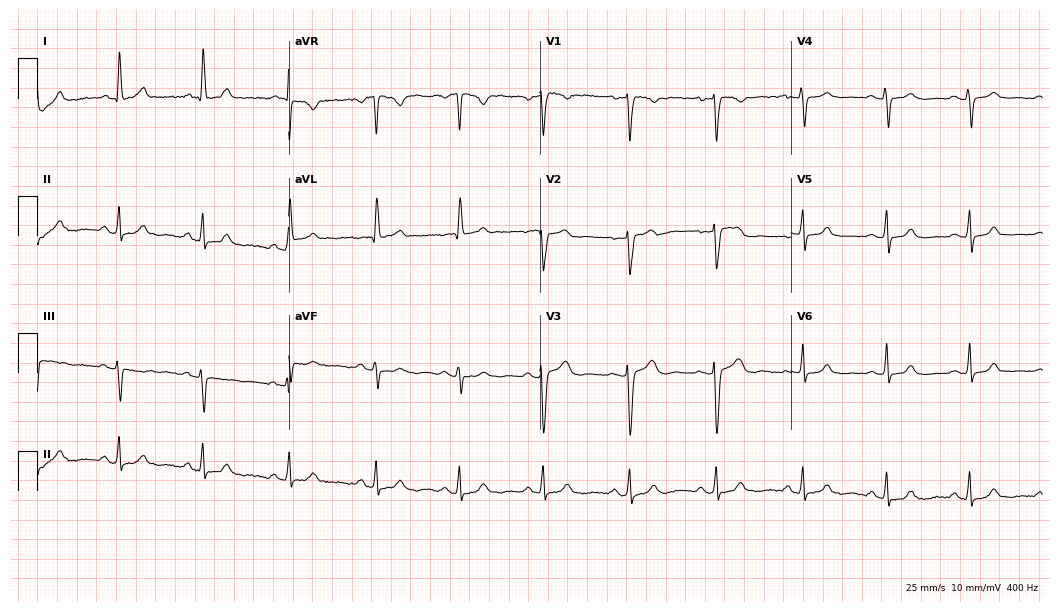
Resting 12-lead electrocardiogram (10.2-second recording at 400 Hz). Patient: a woman, 34 years old. Read as a normal ECG.